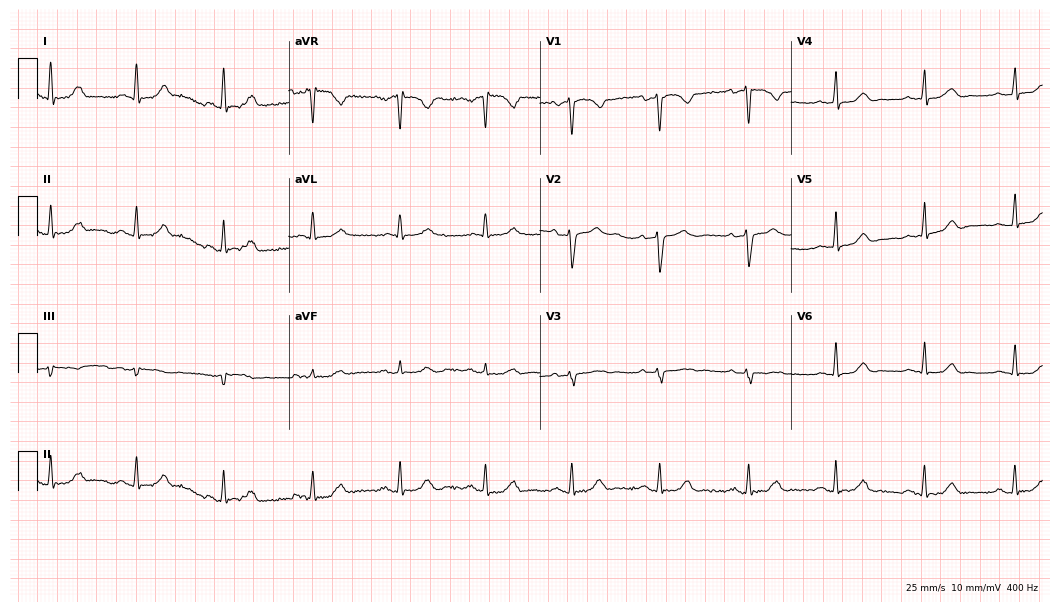
ECG (10.2-second recording at 400 Hz) — a 62-year-old female. Screened for six findings — first-degree AV block, right bundle branch block (RBBB), left bundle branch block (LBBB), sinus bradycardia, atrial fibrillation (AF), sinus tachycardia — none is recorded. Other findings, if any, are not listed.